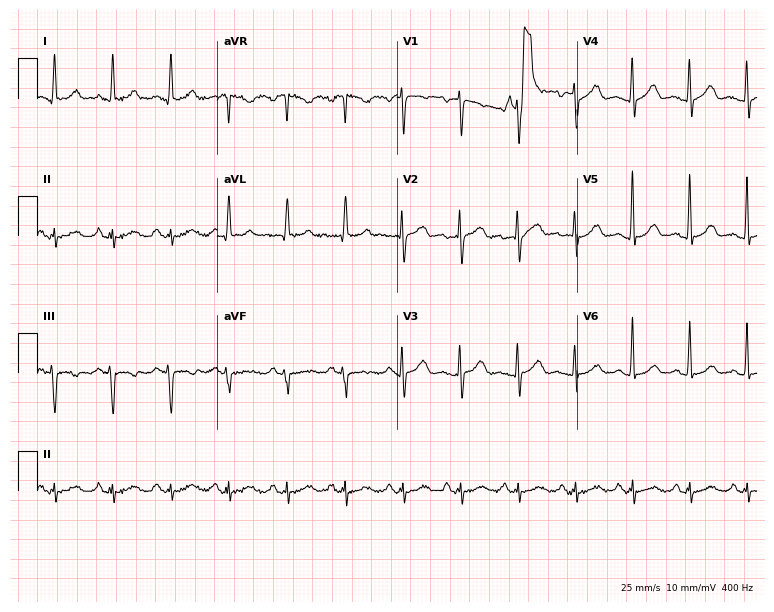
Electrocardiogram (7.3-second recording at 400 Hz), a 58-year-old male patient. Interpretation includes sinus tachycardia (a sinus rate of 100 beats per minute or more).